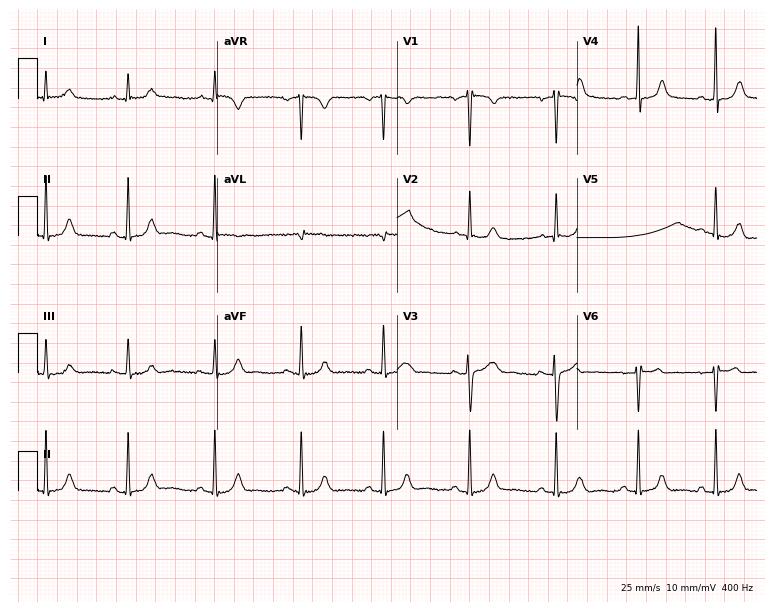
12-lead ECG from a 28-year-old female. No first-degree AV block, right bundle branch block, left bundle branch block, sinus bradycardia, atrial fibrillation or sinus tachycardia recorded for this tracing.